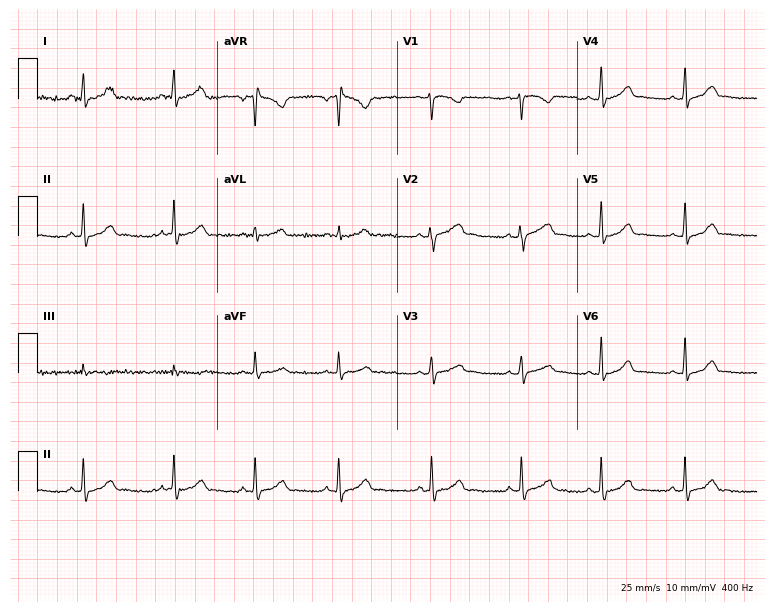
Standard 12-lead ECG recorded from a 28-year-old female patient. Read as a normal ECG.